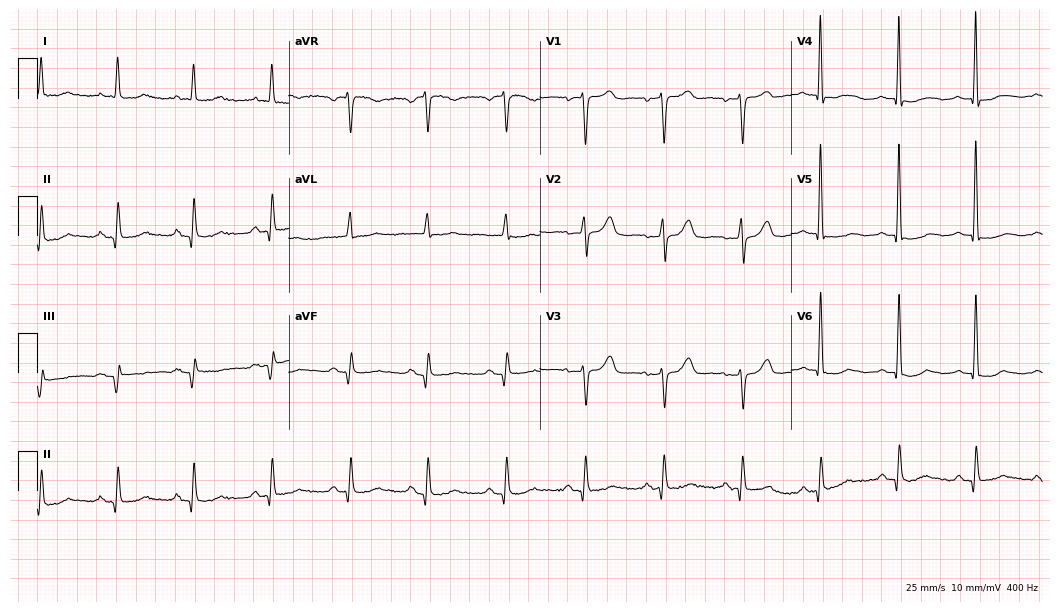
Standard 12-lead ECG recorded from a female, 84 years old (10.2-second recording at 400 Hz). None of these six findings is recorded: first-degree AV block, right bundle branch block, left bundle branch block, sinus bradycardia, atrial fibrillation, sinus tachycardia.